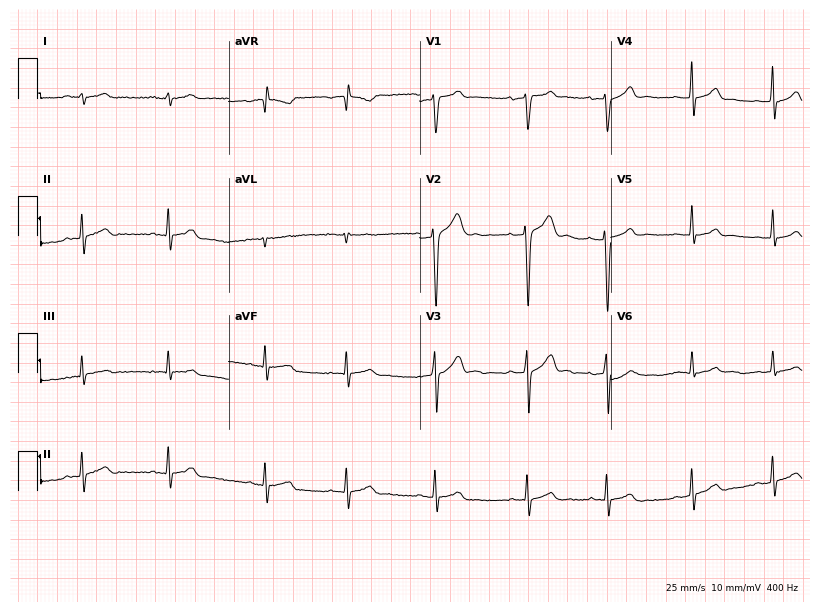
12-lead ECG from a male, 20 years old. Recorded interpretation: within normal limits.